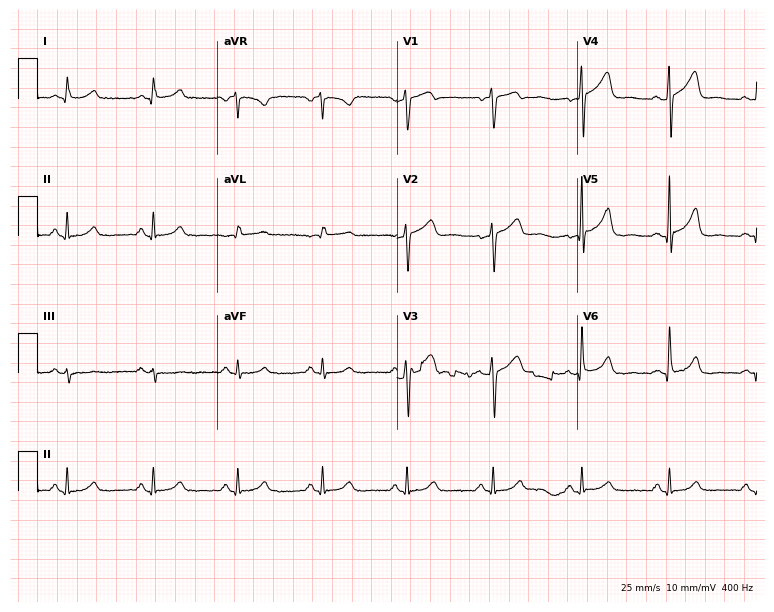
Electrocardiogram, a male patient, 57 years old. Overall reading on record: normal ECG.